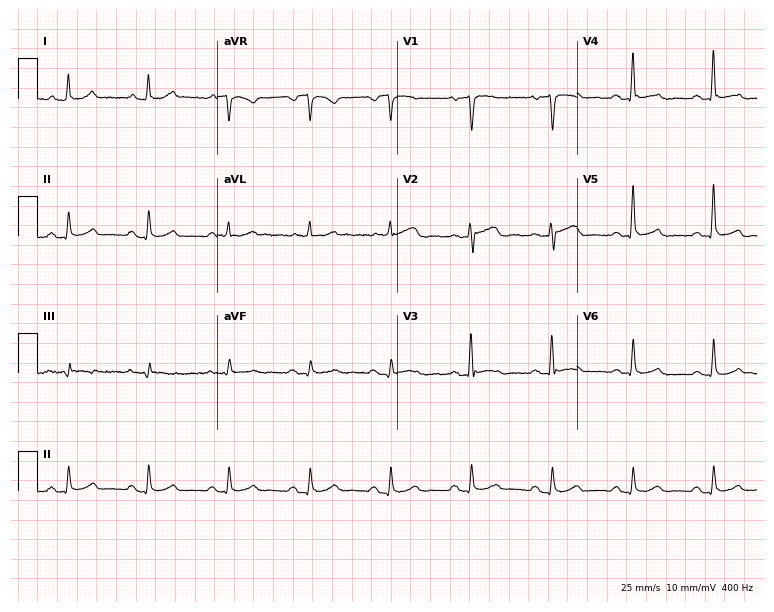
12-lead ECG from a male patient, 56 years old (7.3-second recording at 400 Hz). Recorded interpretation: within normal limits.